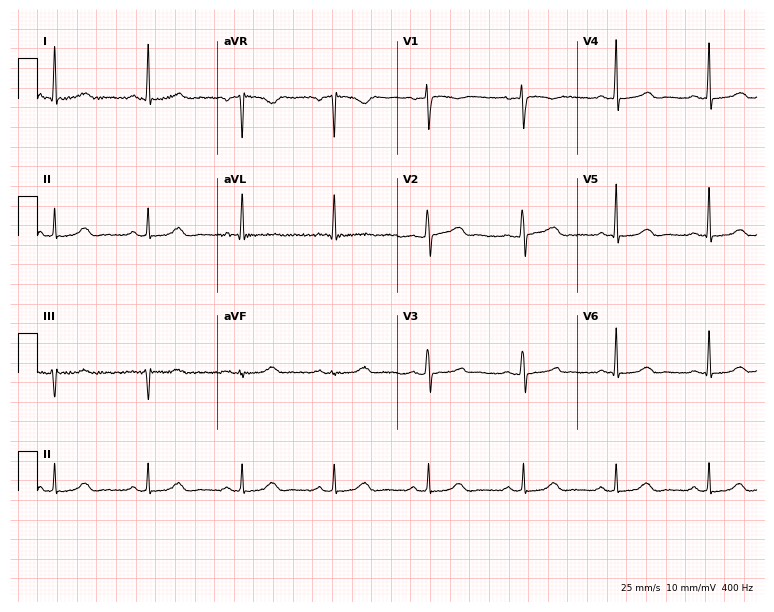
Electrocardiogram (7.3-second recording at 400 Hz), a 59-year-old female. Overall reading on record: normal ECG.